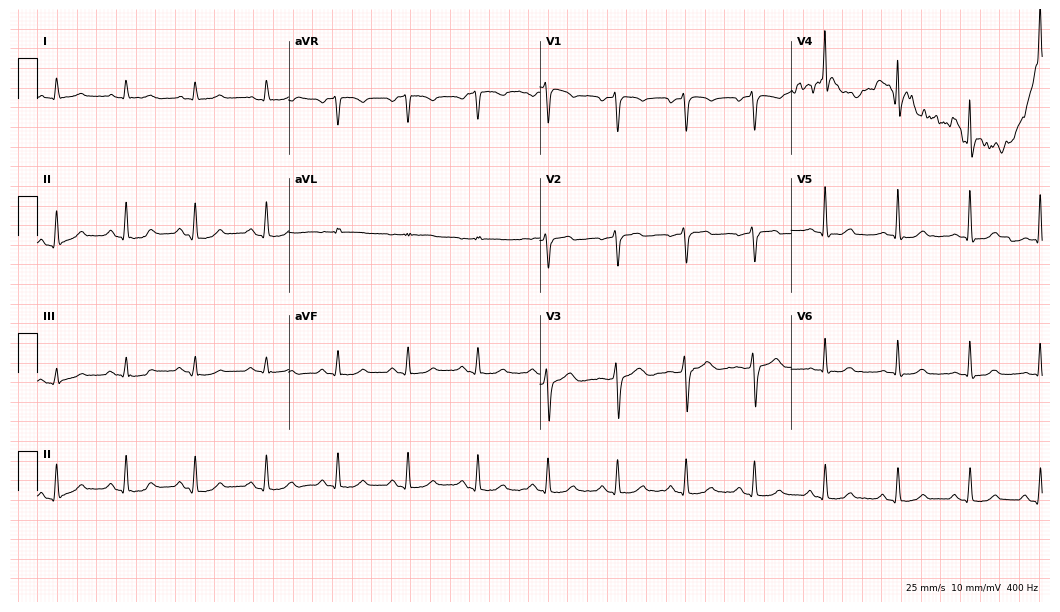
ECG (10.2-second recording at 400 Hz) — a 40-year-old female. Labelled as a normal ECG.